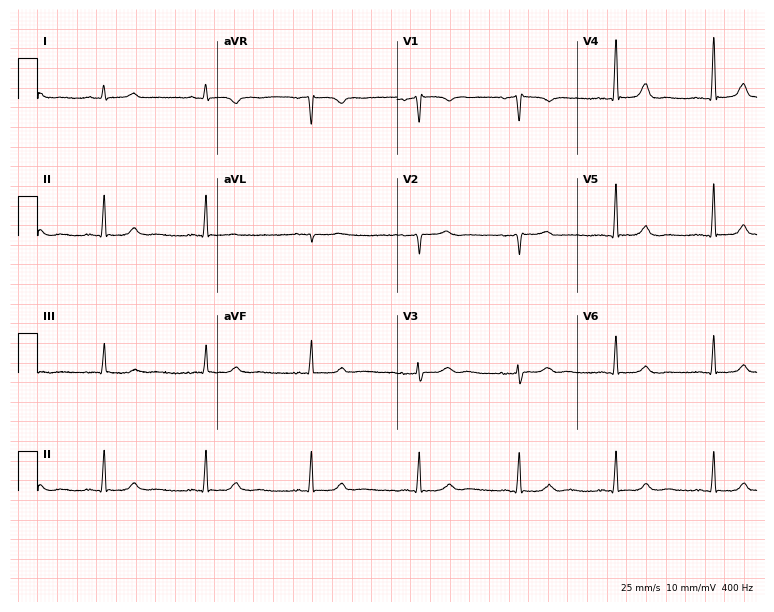
Electrocardiogram (7.3-second recording at 400 Hz), a 45-year-old woman. Of the six screened findings (first-degree AV block, right bundle branch block, left bundle branch block, sinus bradycardia, atrial fibrillation, sinus tachycardia), none is recorded. Only these six findings were labelled.